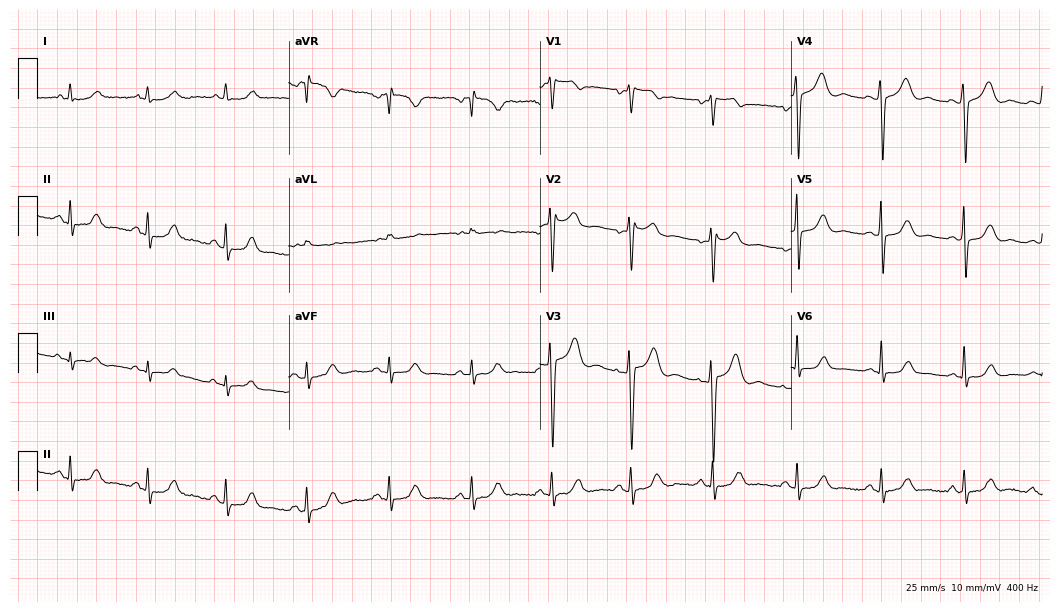
Standard 12-lead ECG recorded from a female, 55 years old. Read as a normal ECG.